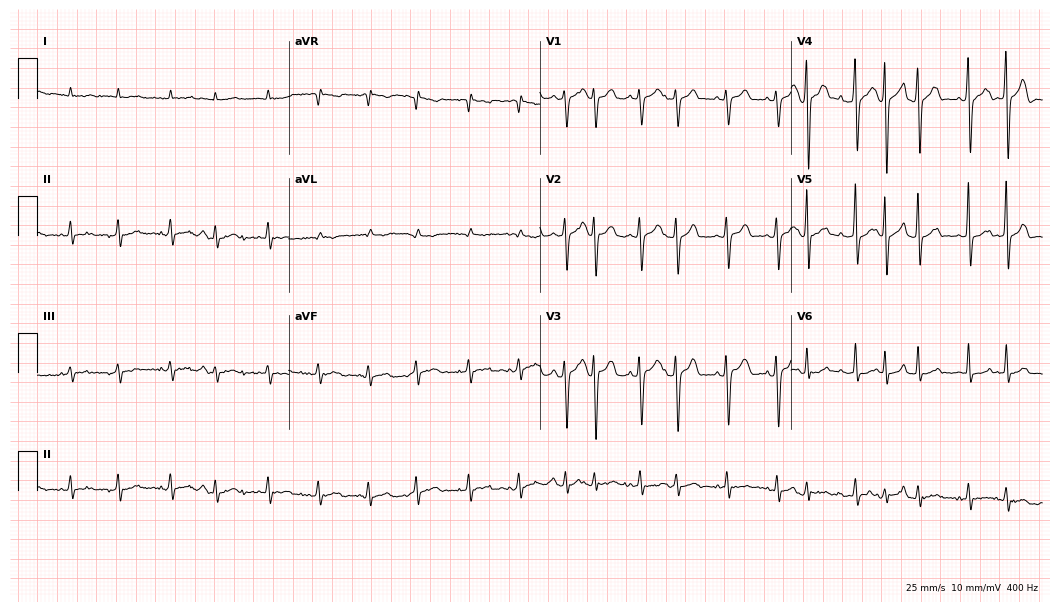
Resting 12-lead electrocardiogram (10.2-second recording at 400 Hz). Patient: a woman, 82 years old. None of these six findings is recorded: first-degree AV block, right bundle branch block, left bundle branch block, sinus bradycardia, atrial fibrillation, sinus tachycardia. Only these six findings were labelled.